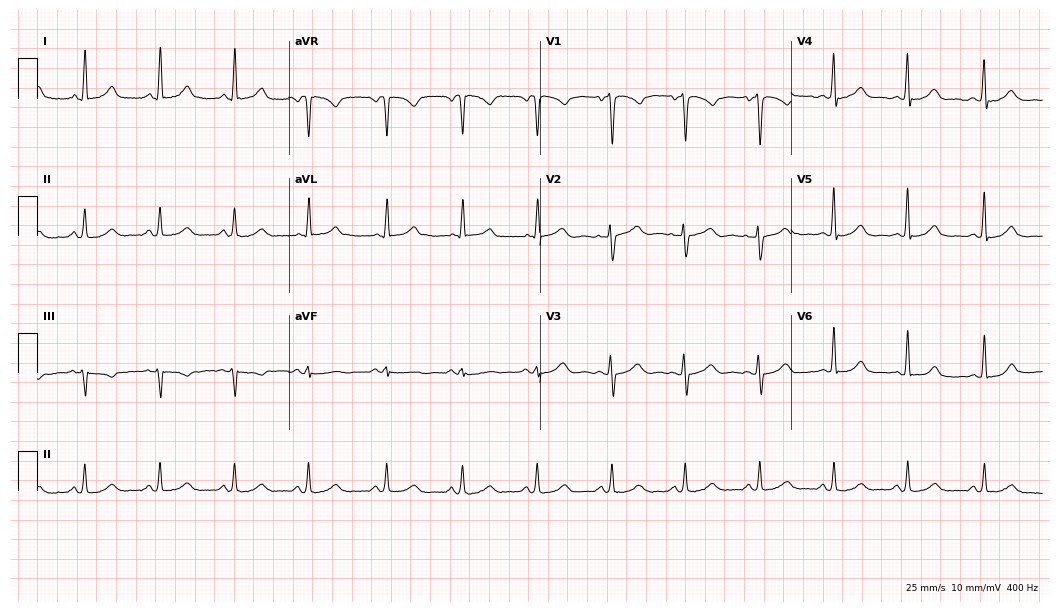
Standard 12-lead ECG recorded from a 42-year-old woman. Read as a normal ECG.